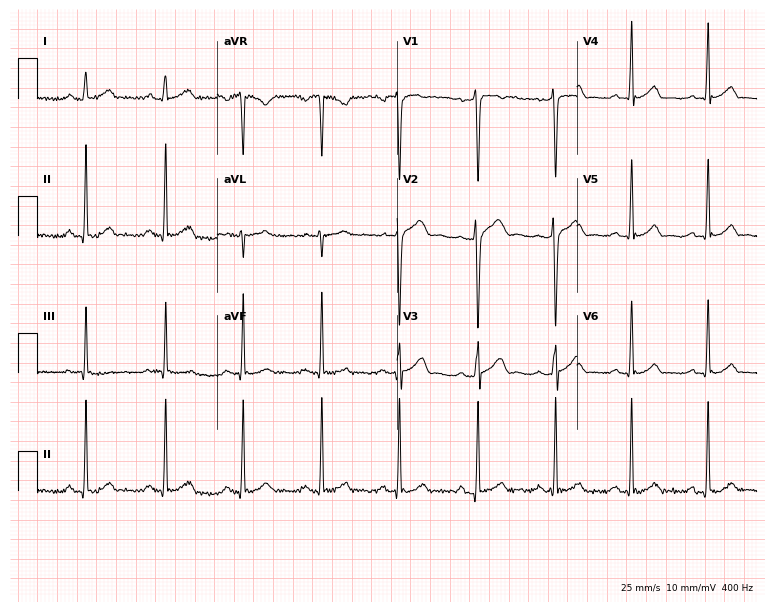
12-lead ECG (7.3-second recording at 400 Hz) from a 26-year-old male. Labelled as a normal ECG.